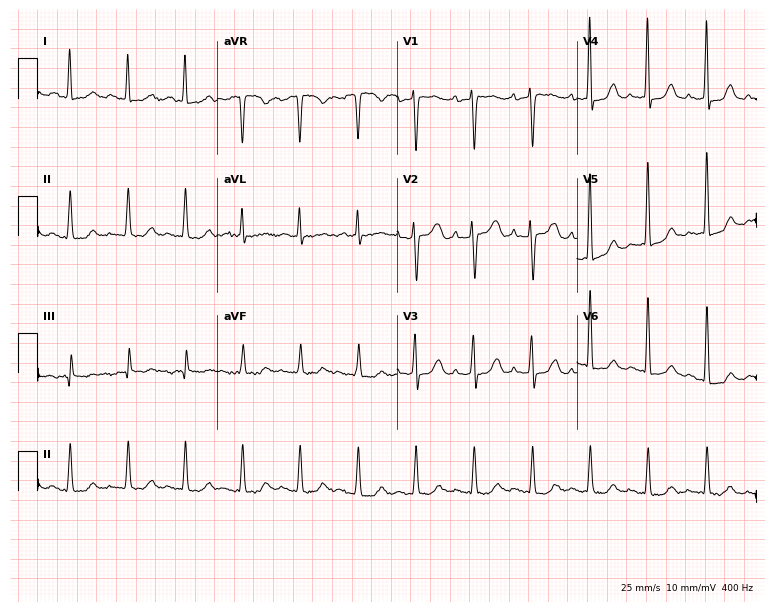
ECG (7.3-second recording at 400 Hz) — a 74-year-old female. Findings include sinus tachycardia (a sinus rate of 100 beats per minute or more).